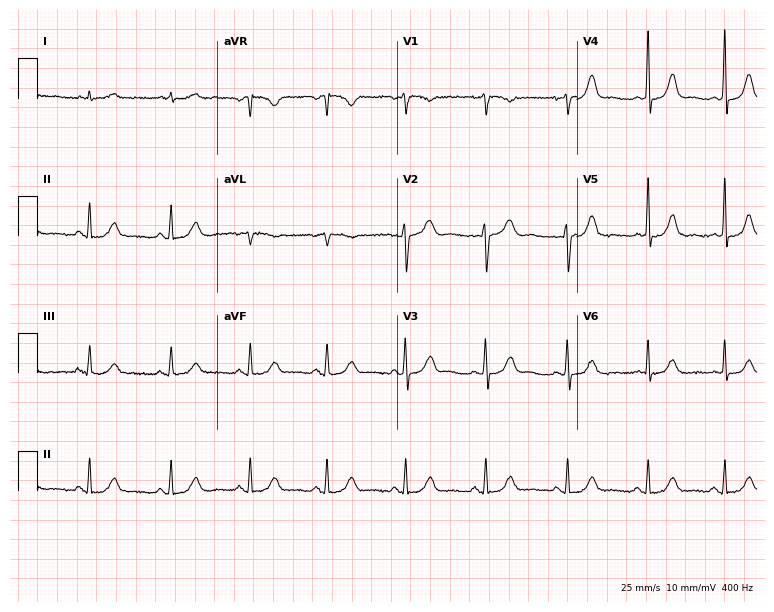
12-lead ECG (7.3-second recording at 400 Hz) from a female patient, 53 years old. Screened for six findings — first-degree AV block, right bundle branch block, left bundle branch block, sinus bradycardia, atrial fibrillation, sinus tachycardia — none is recorded.